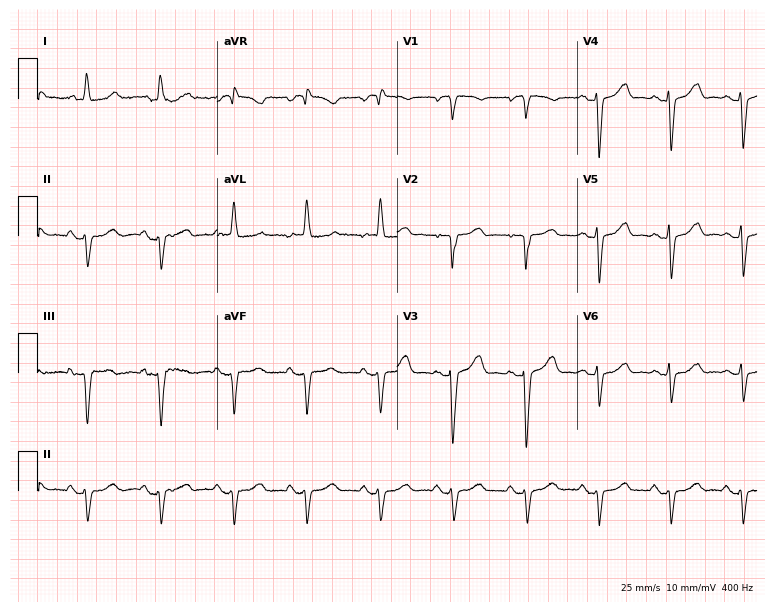
ECG — a 75-year-old female patient. Screened for six findings — first-degree AV block, right bundle branch block (RBBB), left bundle branch block (LBBB), sinus bradycardia, atrial fibrillation (AF), sinus tachycardia — none is recorded. Findings outside these six are not listed.